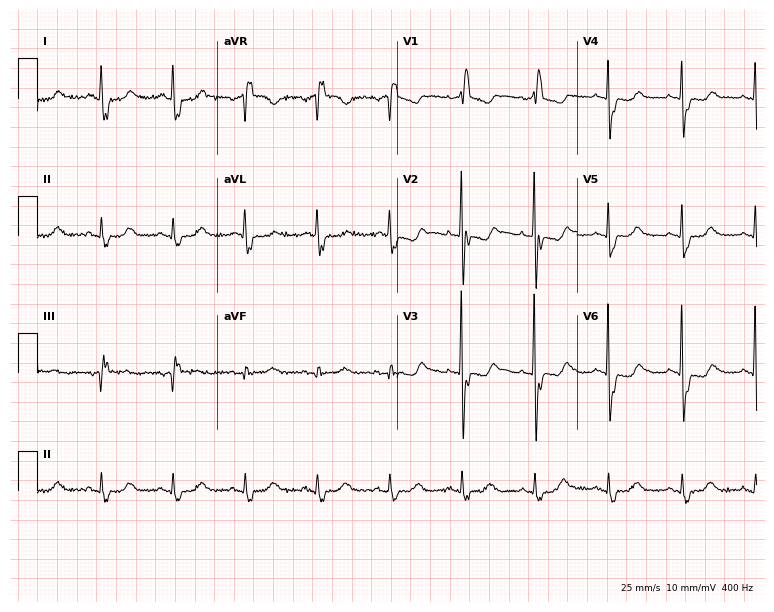
Standard 12-lead ECG recorded from a 75-year-old female (7.3-second recording at 400 Hz). The tracing shows right bundle branch block.